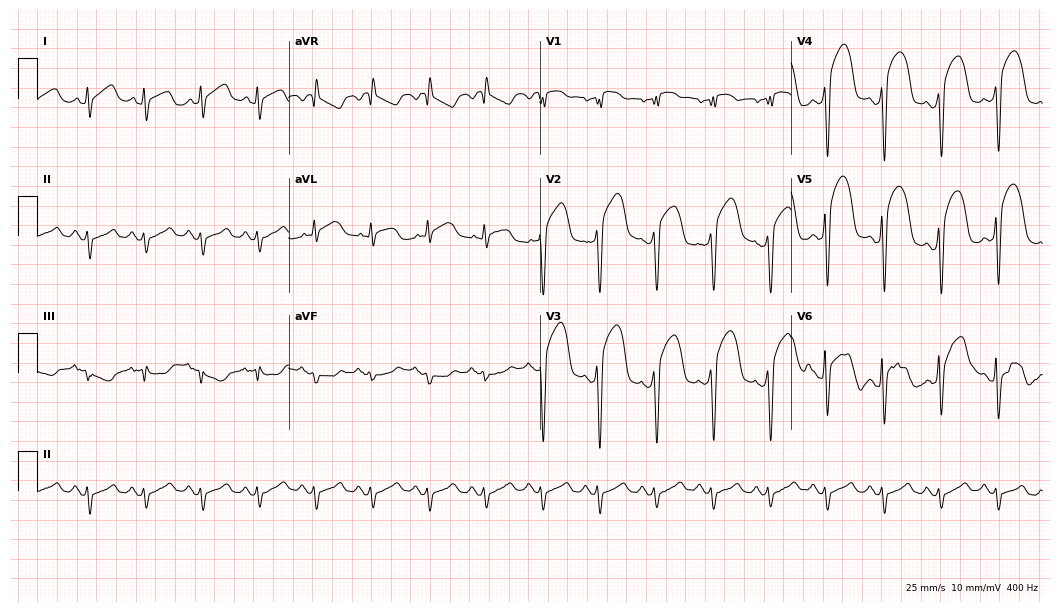
Electrocardiogram, a man, 59 years old. Interpretation includes sinus tachycardia (a sinus rate of 100 beats per minute or more).